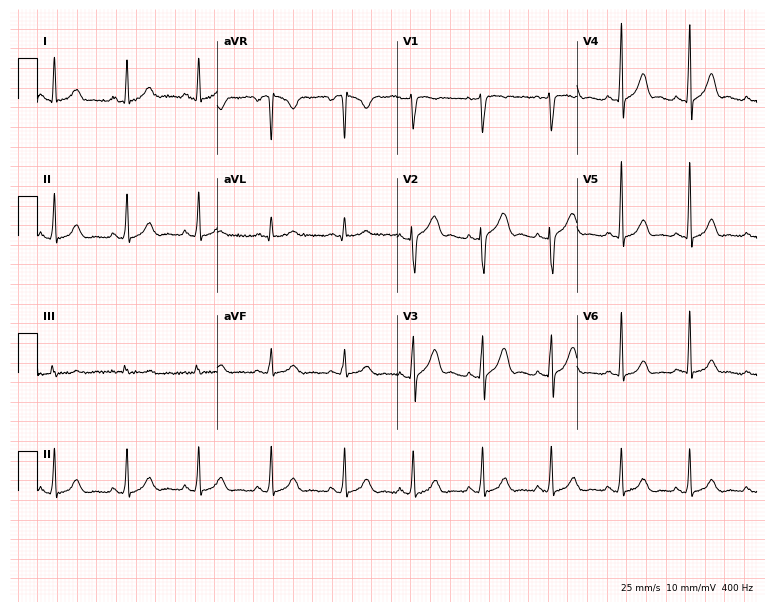
12-lead ECG (7.3-second recording at 400 Hz) from a female patient, 33 years old. Screened for six findings — first-degree AV block, right bundle branch block, left bundle branch block, sinus bradycardia, atrial fibrillation, sinus tachycardia — none is recorded. Only these six findings were labelled.